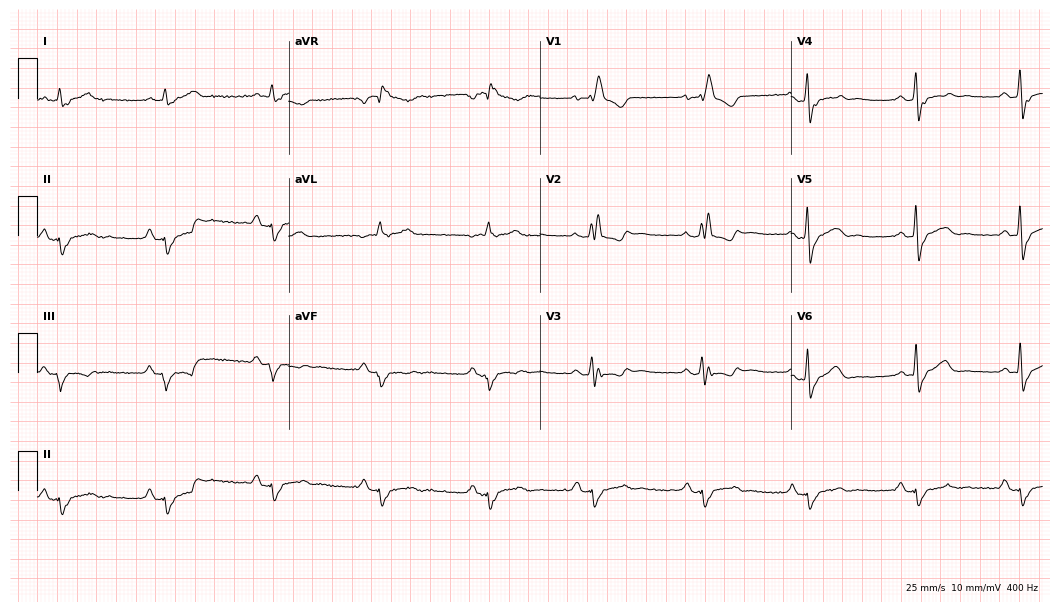
Standard 12-lead ECG recorded from a 64-year-old male patient (10.2-second recording at 400 Hz). The tracing shows right bundle branch block.